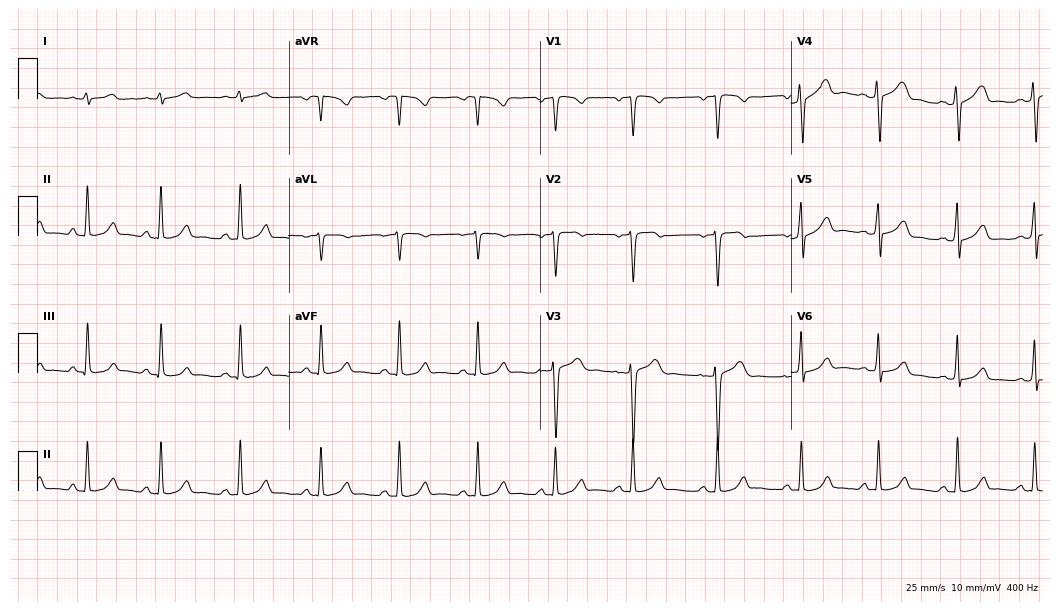
Resting 12-lead electrocardiogram (10.2-second recording at 400 Hz). Patient: a male, 45 years old. Read as a normal ECG.